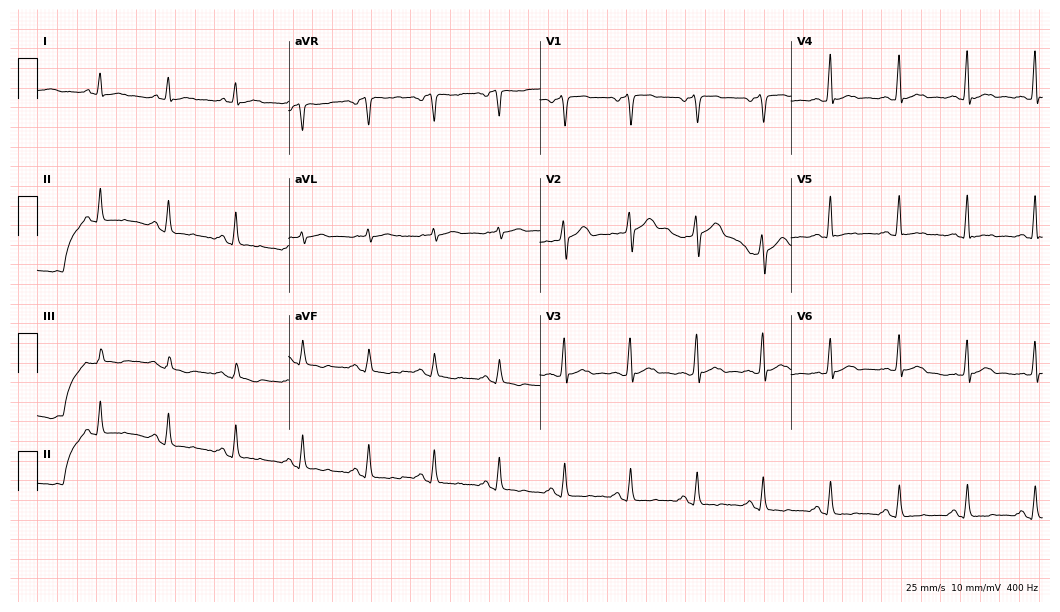
Standard 12-lead ECG recorded from a male patient, 50 years old. None of these six findings is recorded: first-degree AV block, right bundle branch block, left bundle branch block, sinus bradycardia, atrial fibrillation, sinus tachycardia.